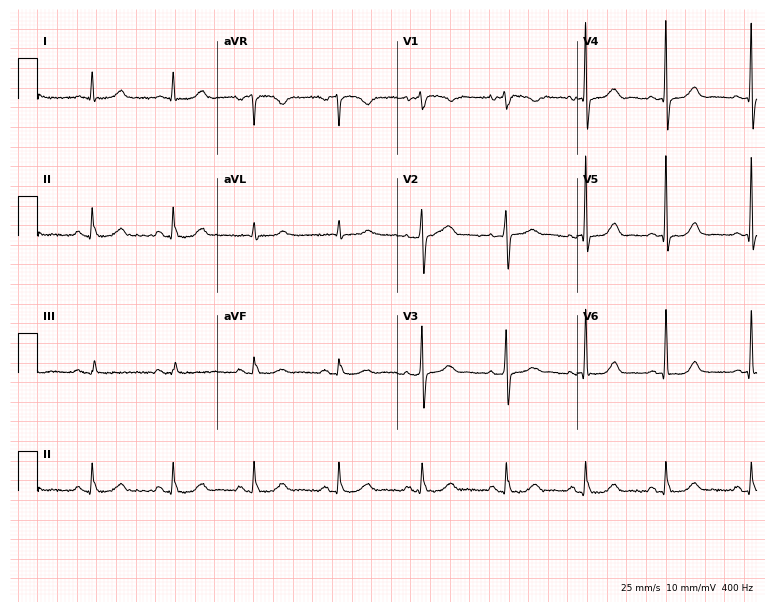
ECG — a man, 61 years old. Labelled as a normal ECG.